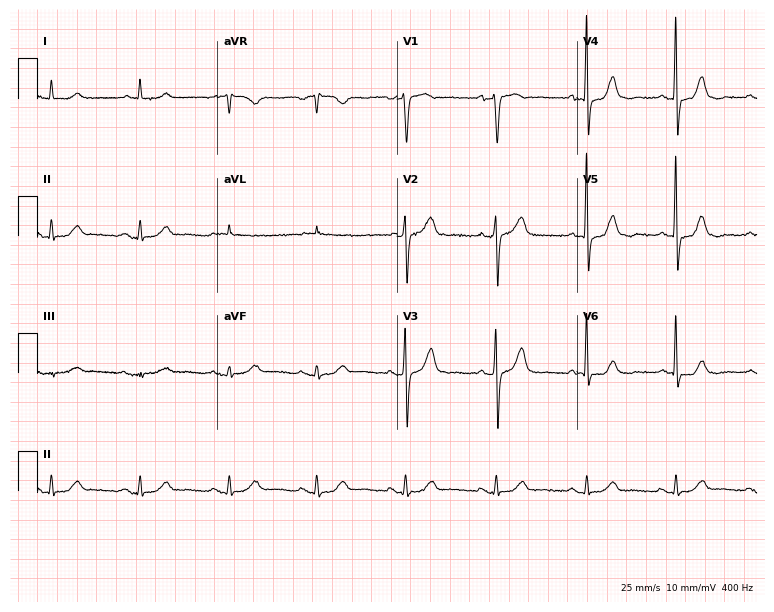
Resting 12-lead electrocardiogram (7.3-second recording at 400 Hz). Patient: a man, 80 years old. Read as a normal ECG.